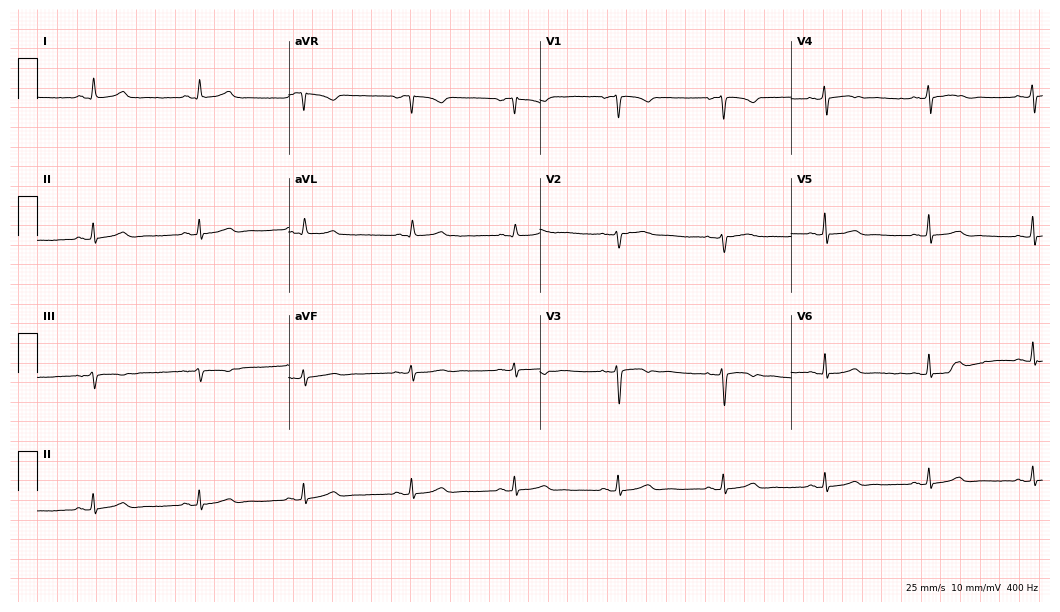
Resting 12-lead electrocardiogram (10.2-second recording at 400 Hz). Patient: a 49-year-old woman. Read as a normal ECG.